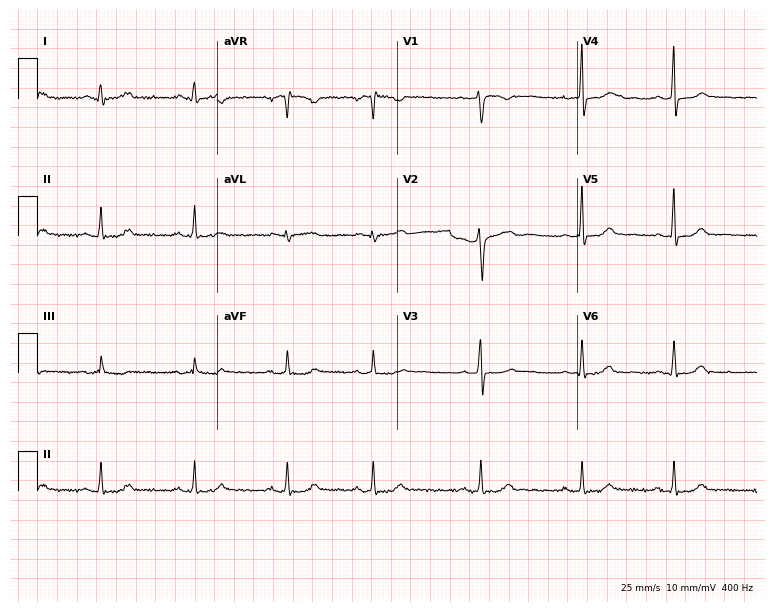
12-lead ECG from a 26-year-old woman (7.3-second recording at 400 Hz). No first-degree AV block, right bundle branch block, left bundle branch block, sinus bradycardia, atrial fibrillation or sinus tachycardia recorded for this tracing.